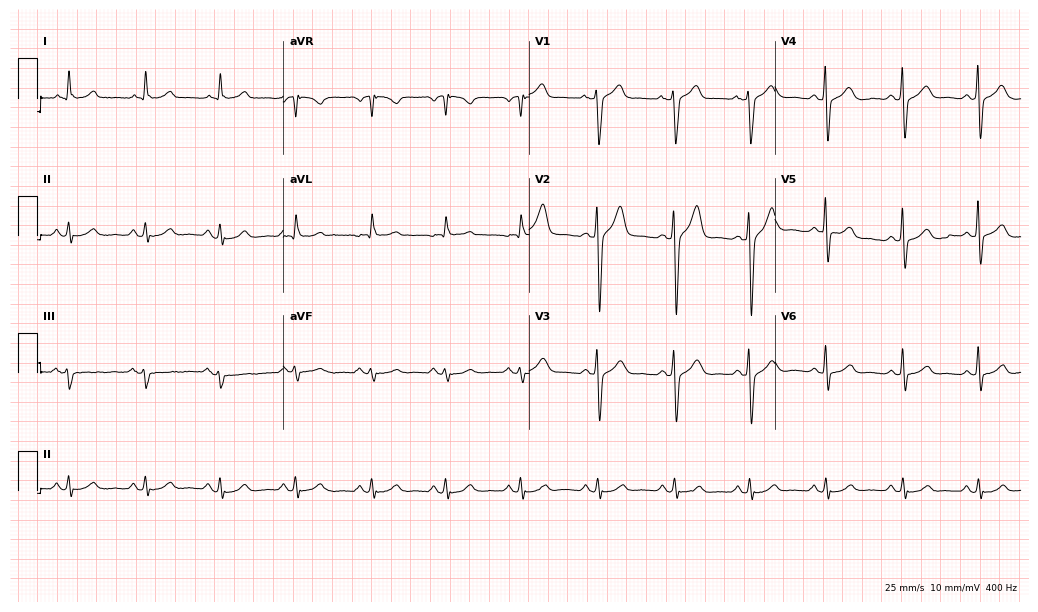
Standard 12-lead ECG recorded from a male patient, 60 years old. Read as a normal ECG.